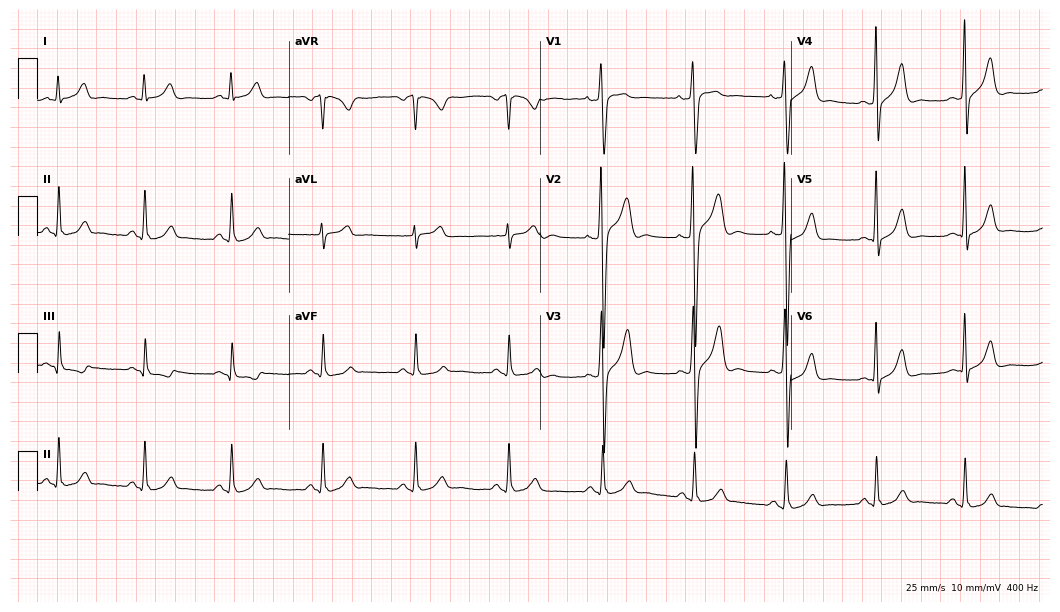
12-lead ECG from a male patient, 41 years old (10.2-second recording at 400 Hz). No first-degree AV block, right bundle branch block, left bundle branch block, sinus bradycardia, atrial fibrillation or sinus tachycardia recorded for this tracing.